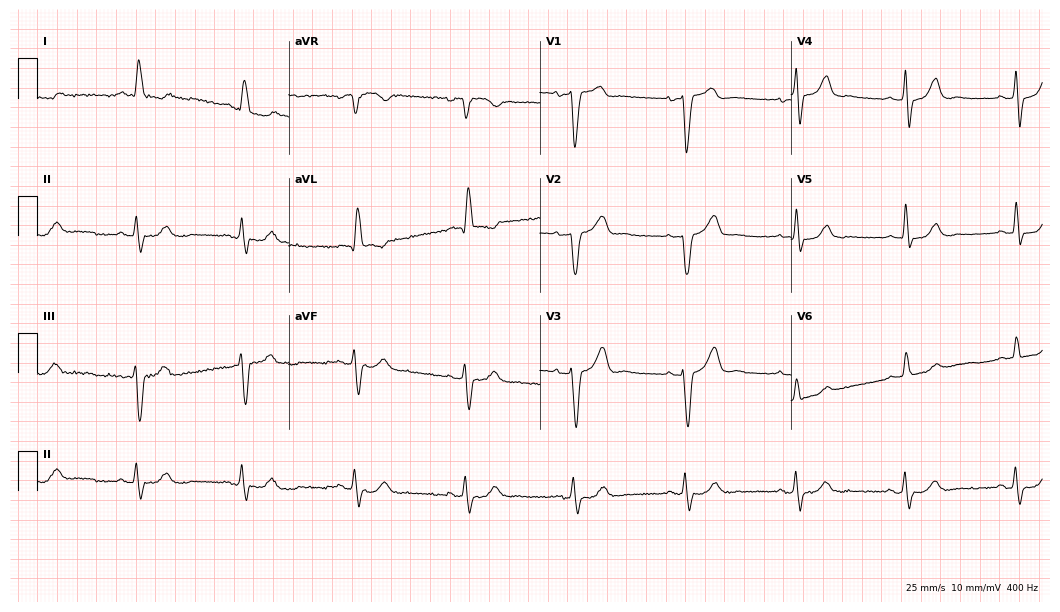
Standard 12-lead ECG recorded from a man, 73 years old. None of these six findings is recorded: first-degree AV block, right bundle branch block (RBBB), left bundle branch block (LBBB), sinus bradycardia, atrial fibrillation (AF), sinus tachycardia. Only these six findings were labelled.